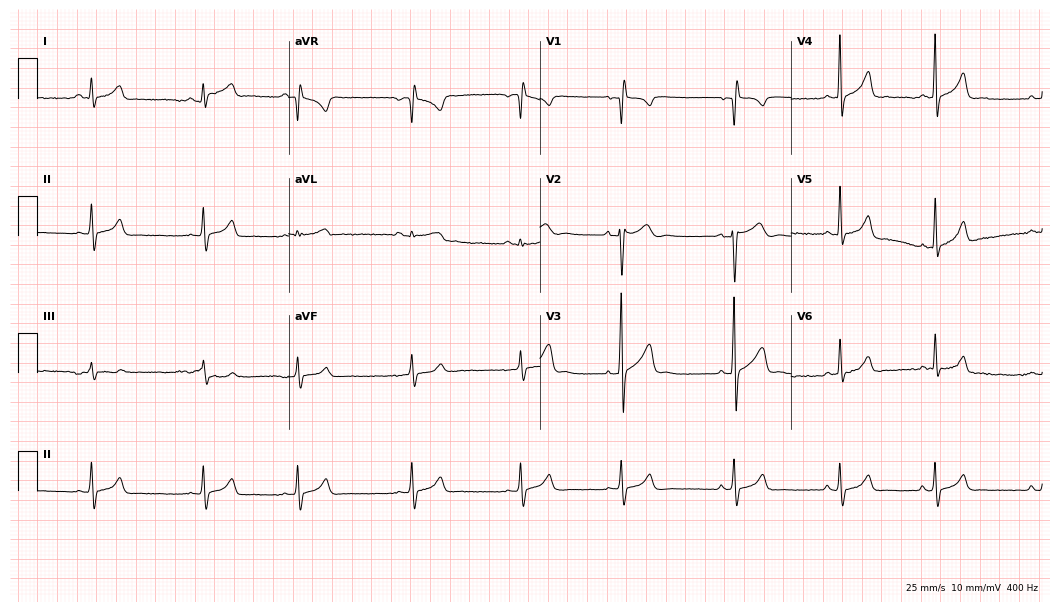
Standard 12-lead ECG recorded from a 17-year-old man. Read as a normal ECG.